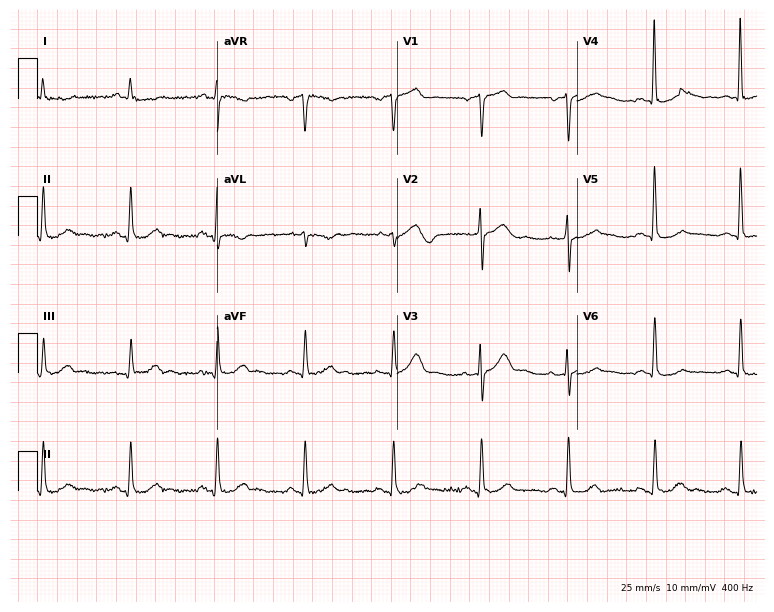
Standard 12-lead ECG recorded from an 83-year-old man (7.3-second recording at 400 Hz). None of these six findings is recorded: first-degree AV block, right bundle branch block, left bundle branch block, sinus bradycardia, atrial fibrillation, sinus tachycardia. Only these six findings were labelled.